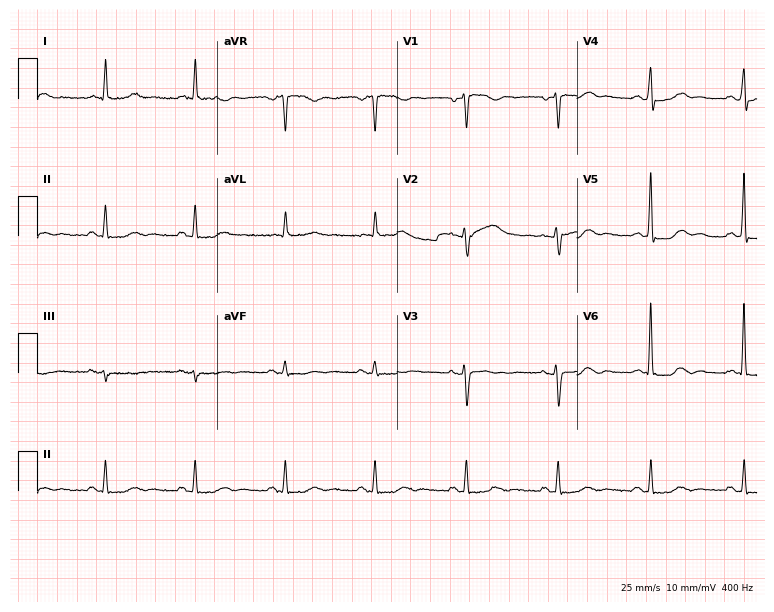
12-lead ECG from a 55-year-old female patient (7.3-second recording at 400 Hz). No first-degree AV block, right bundle branch block, left bundle branch block, sinus bradycardia, atrial fibrillation or sinus tachycardia recorded for this tracing. Findings outside these six are not listed.